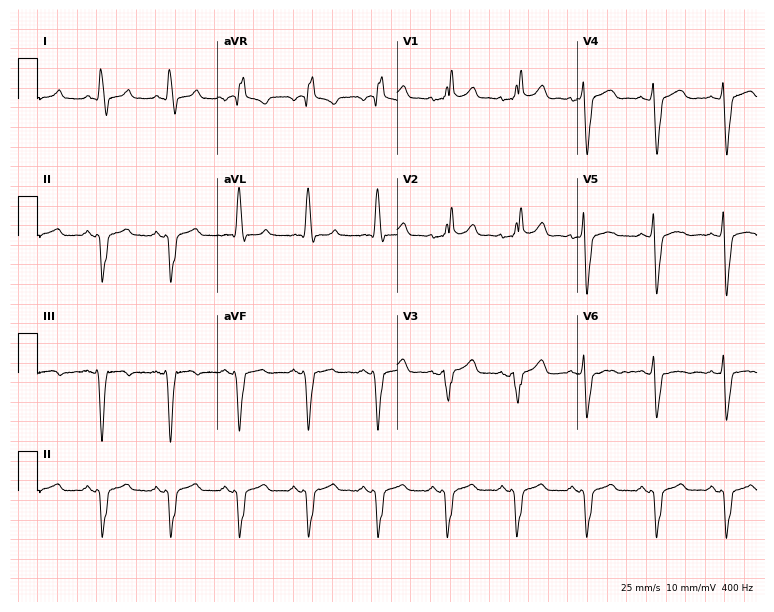
Electrocardiogram (7.3-second recording at 400 Hz), a male patient, 58 years old. Interpretation includes right bundle branch block (RBBB).